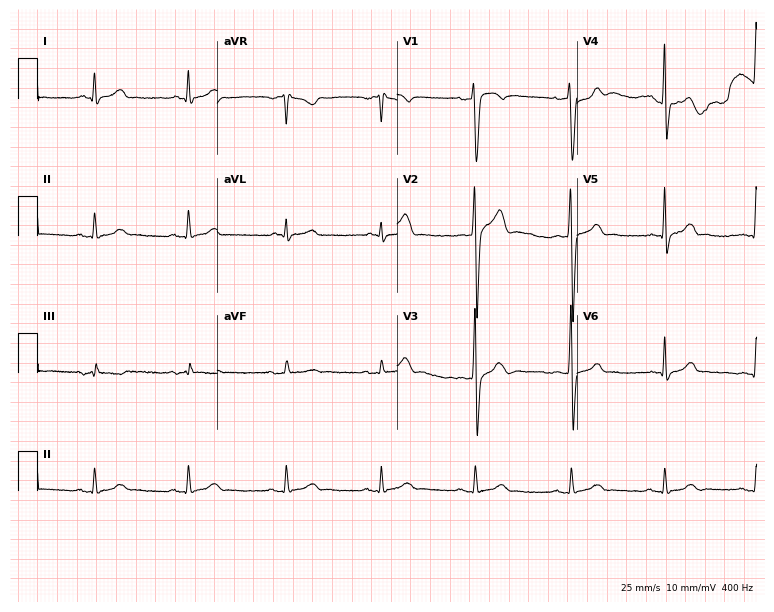
ECG (7.3-second recording at 400 Hz) — a 30-year-old male patient. Labelled as a normal ECG.